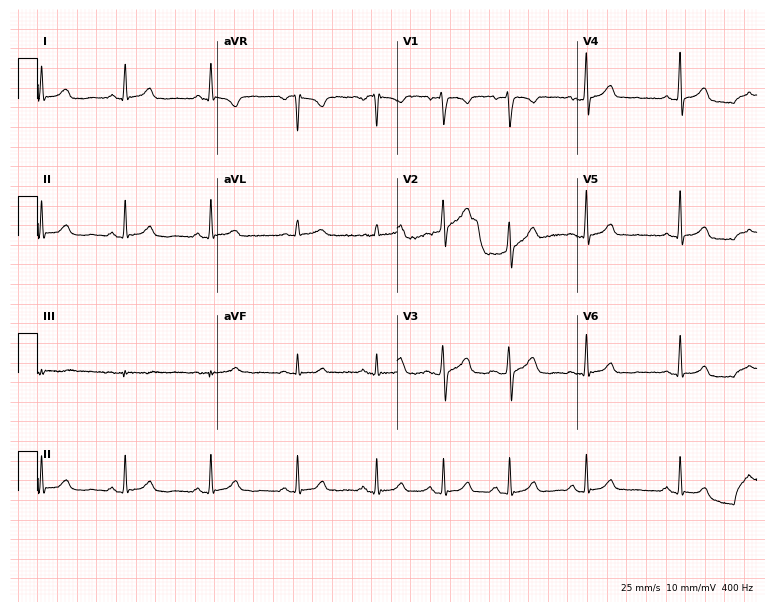
12-lead ECG from a 26-year-old female patient. Labelled as a normal ECG.